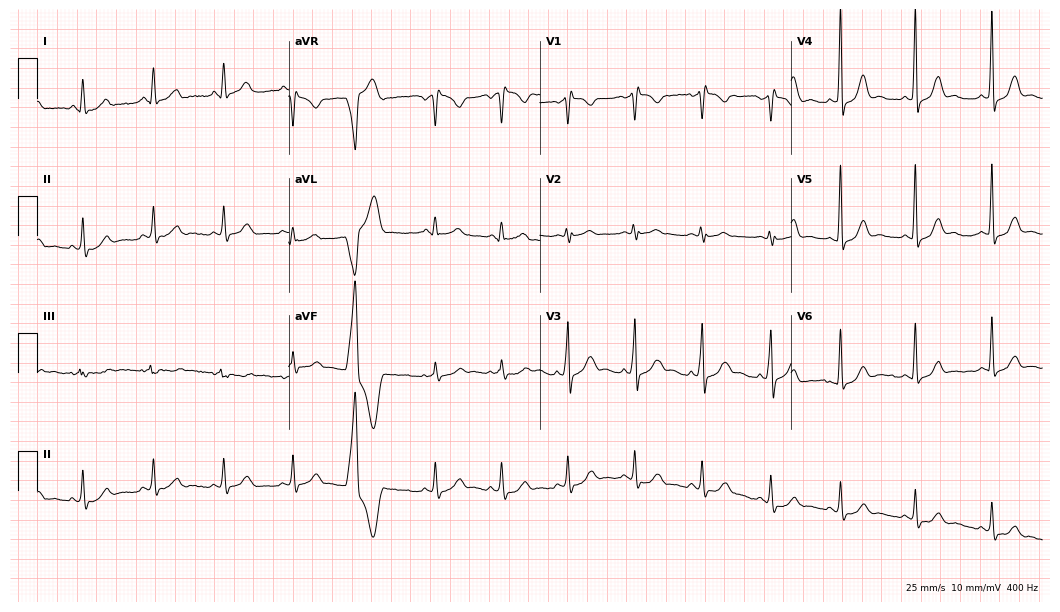
Standard 12-lead ECG recorded from a female patient, 32 years old (10.2-second recording at 400 Hz). None of these six findings is recorded: first-degree AV block, right bundle branch block, left bundle branch block, sinus bradycardia, atrial fibrillation, sinus tachycardia. Findings outside these six are not listed.